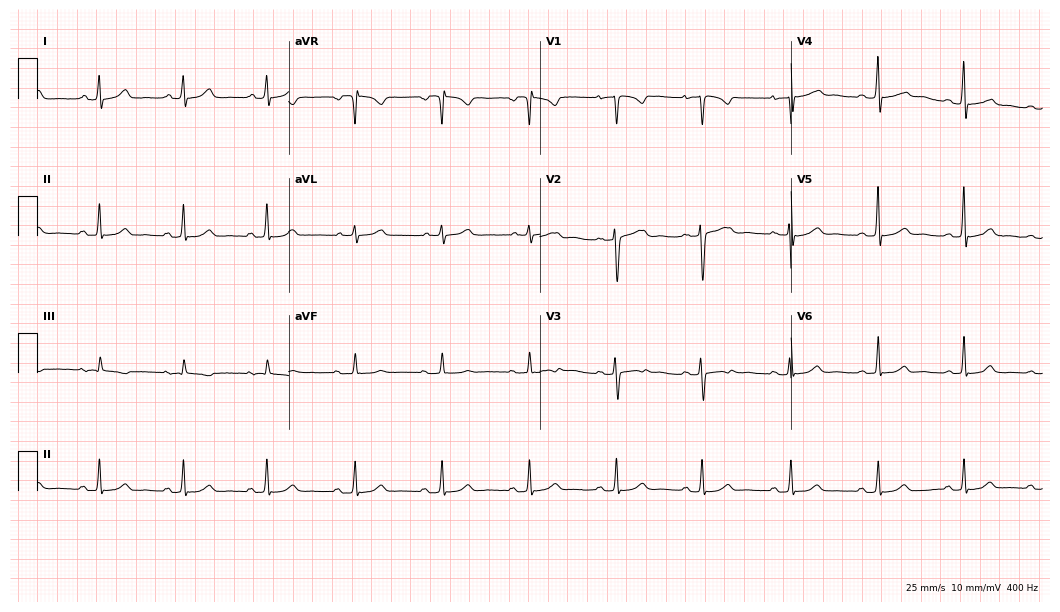
ECG — a 29-year-old female. Screened for six findings — first-degree AV block, right bundle branch block, left bundle branch block, sinus bradycardia, atrial fibrillation, sinus tachycardia — none is recorded.